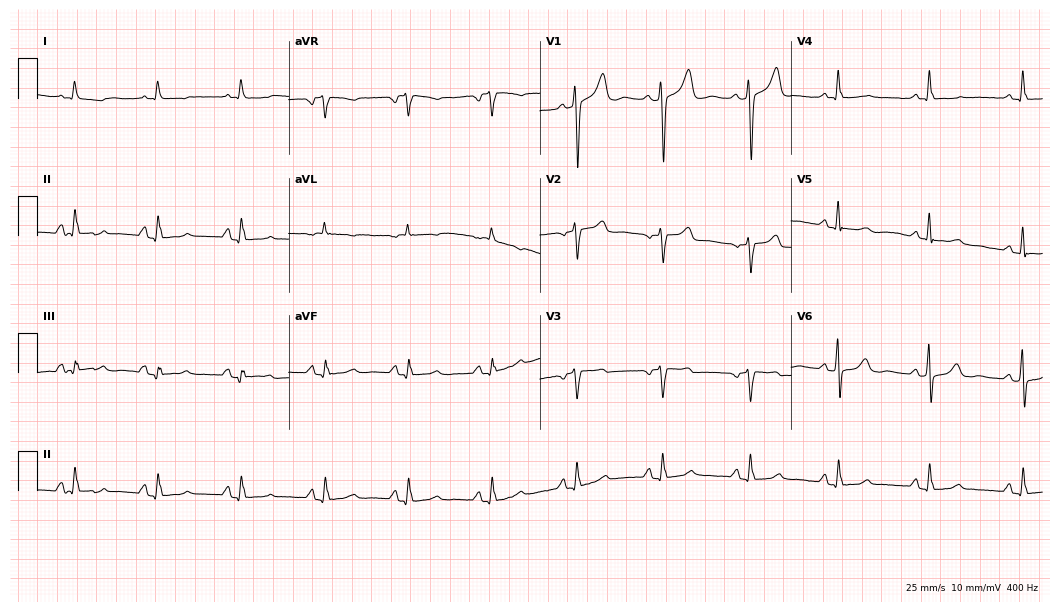
Resting 12-lead electrocardiogram (10.2-second recording at 400 Hz). Patient: a 55-year-old female. None of these six findings is recorded: first-degree AV block, right bundle branch block, left bundle branch block, sinus bradycardia, atrial fibrillation, sinus tachycardia.